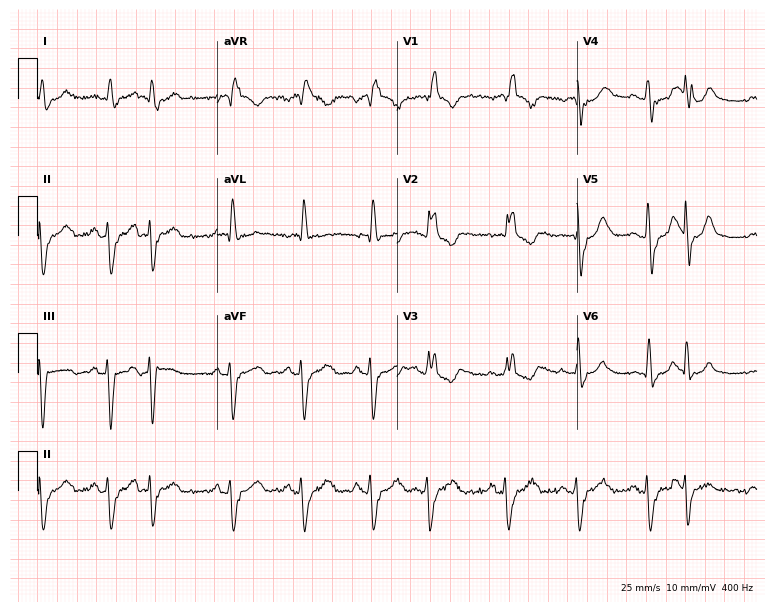
Resting 12-lead electrocardiogram (7.3-second recording at 400 Hz). Patient: a male, 79 years old. None of these six findings is recorded: first-degree AV block, right bundle branch block (RBBB), left bundle branch block (LBBB), sinus bradycardia, atrial fibrillation (AF), sinus tachycardia. Findings outside these six are not listed.